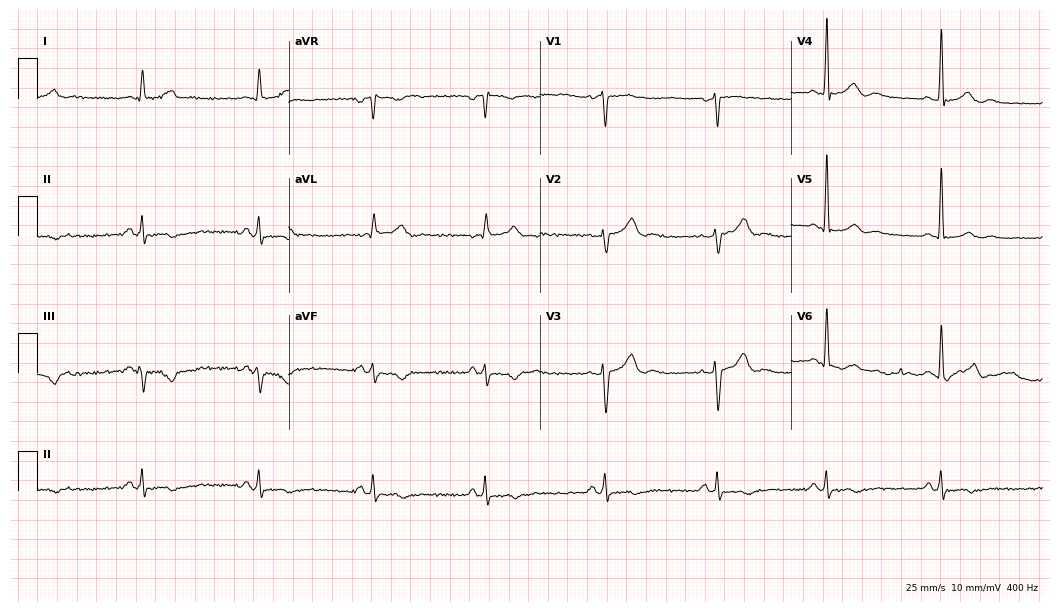
ECG (10.2-second recording at 400 Hz) — a 47-year-old male. Screened for six findings — first-degree AV block, right bundle branch block, left bundle branch block, sinus bradycardia, atrial fibrillation, sinus tachycardia — none is recorded. Findings outside these six are not listed.